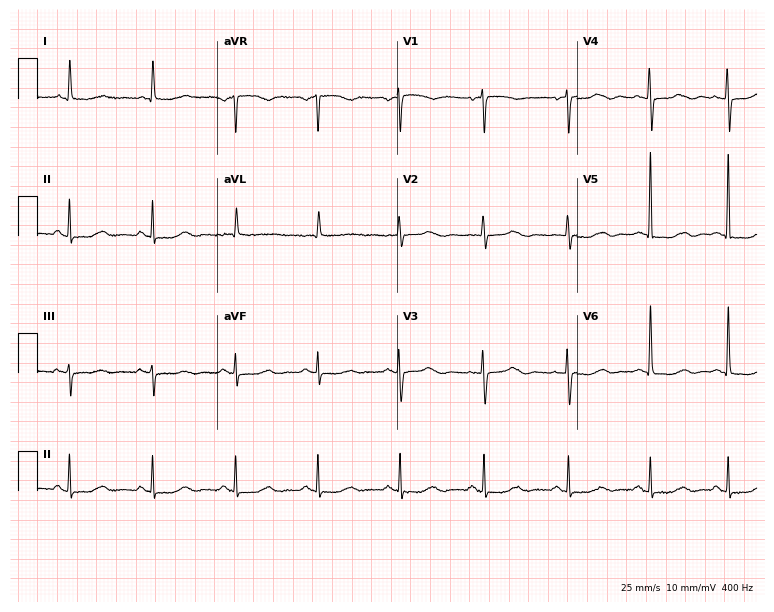
Resting 12-lead electrocardiogram (7.3-second recording at 400 Hz). Patient: a 75-year-old woman. None of these six findings is recorded: first-degree AV block, right bundle branch block, left bundle branch block, sinus bradycardia, atrial fibrillation, sinus tachycardia. Other findings, if any, are not listed.